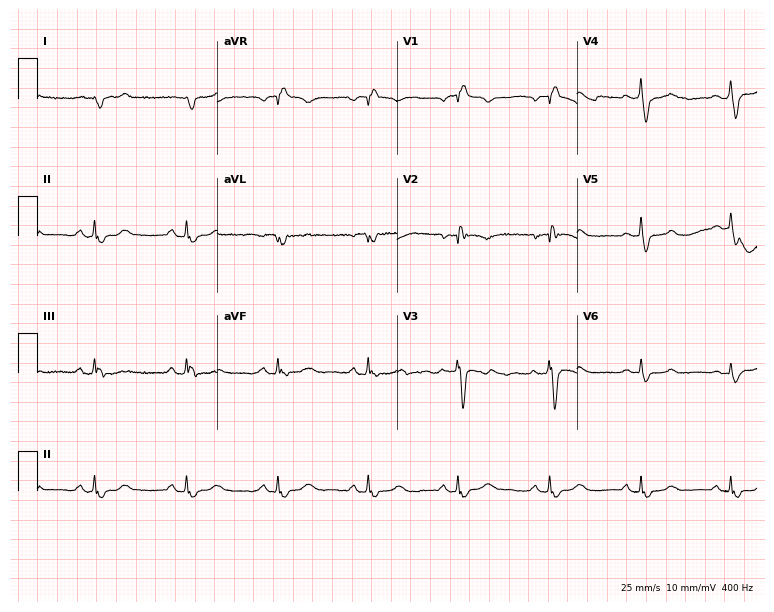
Standard 12-lead ECG recorded from a man, 46 years old (7.3-second recording at 400 Hz). None of these six findings is recorded: first-degree AV block, right bundle branch block (RBBB), left bundle branch block (LBBB), sinus bradycardia, atrial fibrillation (AF), sinus tachycardia.